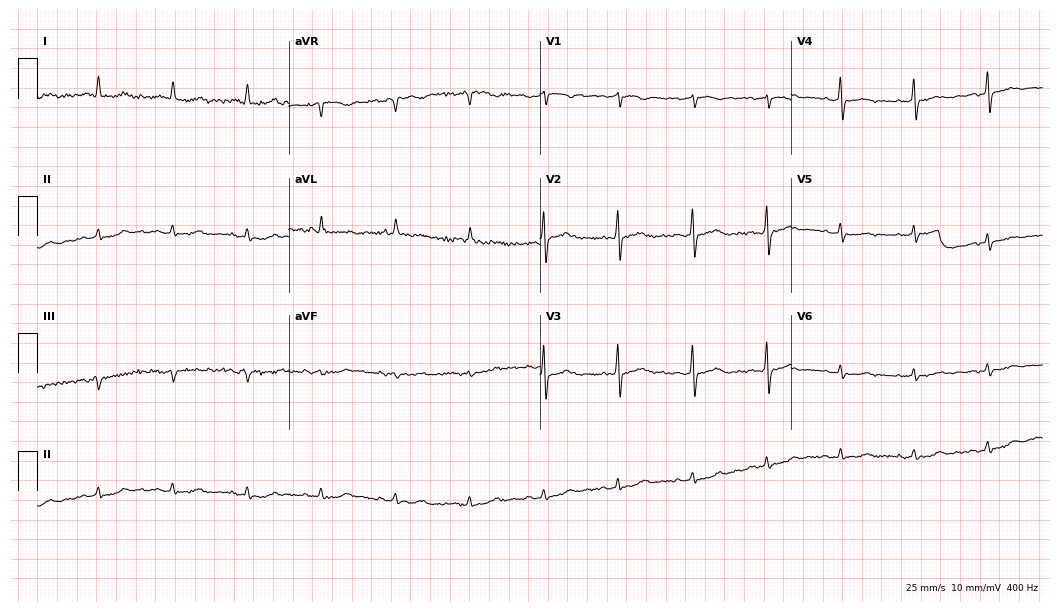
12-lead ECG from a female patient, 72 years old. No first-degree AV block, right bundle branch block (RBBB), left bundle branch block (LBBB), sinus bradycardia, atrial fibrillation (AF) or sinus tachycardia recorded for this tracing. Findings outside these six are not listed.